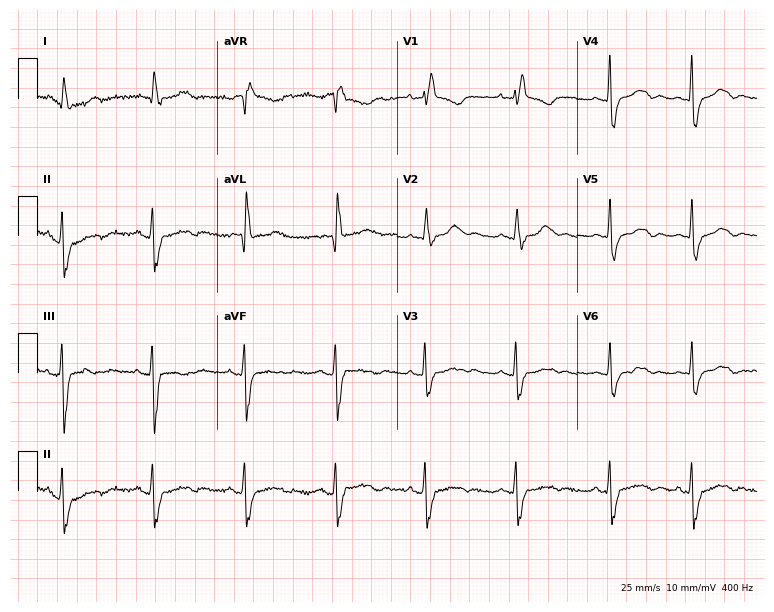
Electrocardiogram, a female, 77 years old. Interpretation includes right bundle branch block.